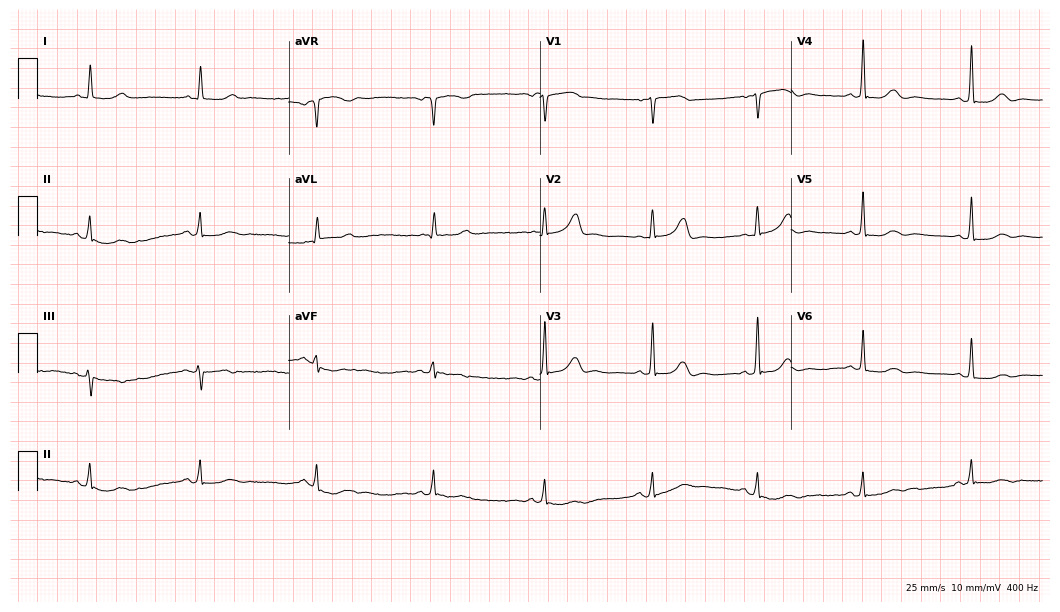
Electrocardiogram (10.2-second recording at 400 Hz), a female, 81 years old. Of the six screened findings (first-degree AV block, right bundle branch block, left bundle branch block, sinus bradycardia, atrial fibrillation, sinus tachycardia), none is recorded. Findings outside these six are not listed.